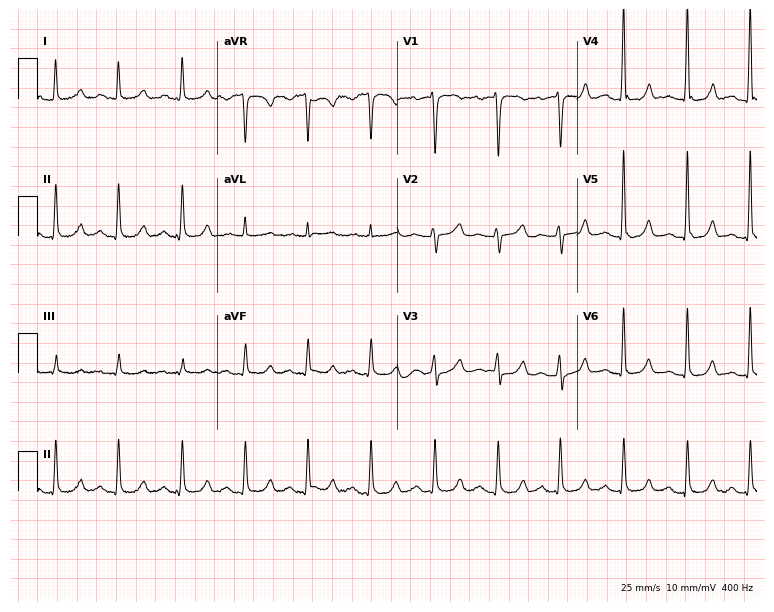
12-lead ECG from a 44-year-old woman. Screened for six findings — first-degree AV block, right bundle branch block, left bundle branch block, sinus bradycardia, atrial fibrillation, sinus tachycardia — none is recorded.